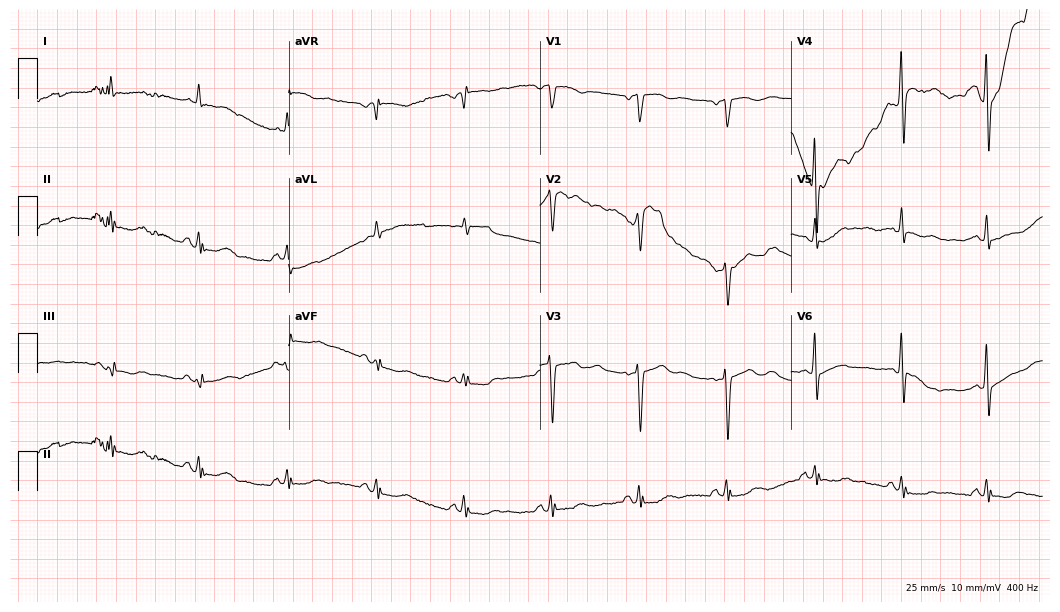
12-lead ECG from a 65-year-old female. Screened for six findings — first-degree AV block, right bundle branch block, left bundle branch block, sinus bradycardia, atrial fibrillation, sinus tachycardia — none is recorded.